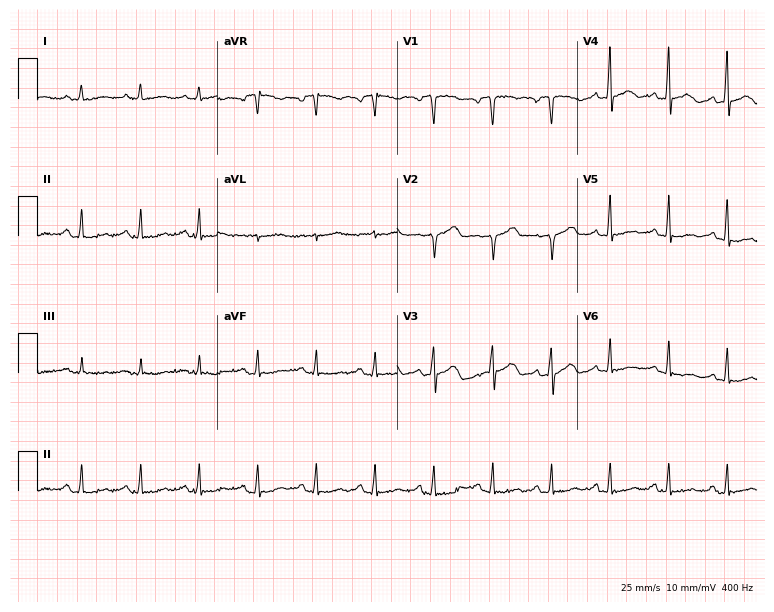
Standard 12-lead ECG recorded from a 56-year-old male patient. Read as a normal ECG.